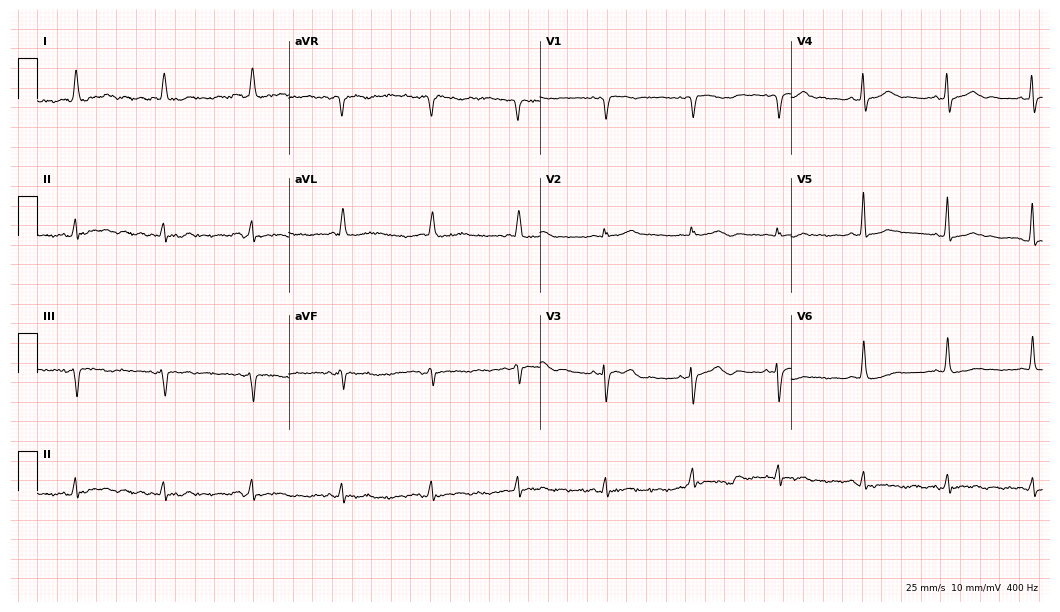
Resting 12-lead electrocardiogram. Patient: a female, 76 years old. None of these six findings is recorded: first-degree AV block, right bundle branch block, left bundle branch block, sinus bradycardia, atrial fibrillation, sinus tachycardia. Findings outside these six are not listed.